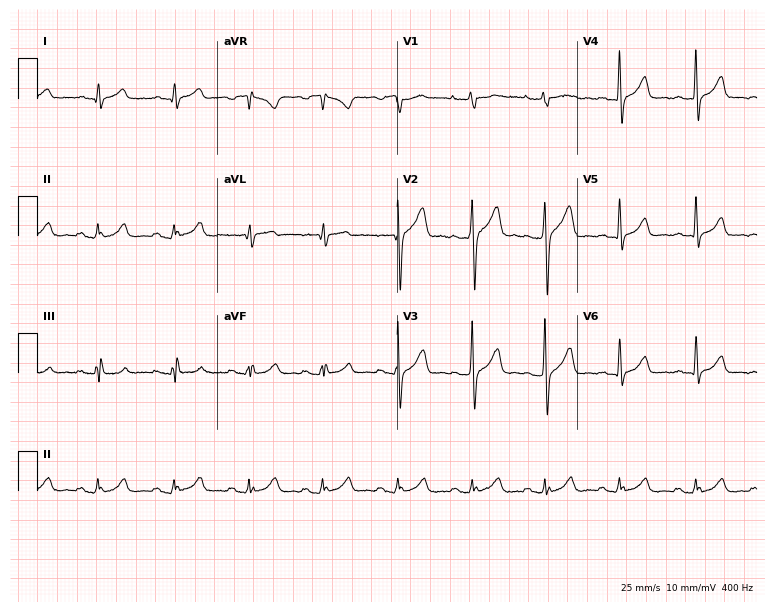
12-lead ECG (7.3-second recording at 400 Hz) from a 22-year-old man. Screened for six findings — first-degree AV block, right bundle branch block, left bundle branch block, sinus bradycardia, atrial fibrillation, sinus tachycardia — none is recorded. Findings outside these six are not listed.